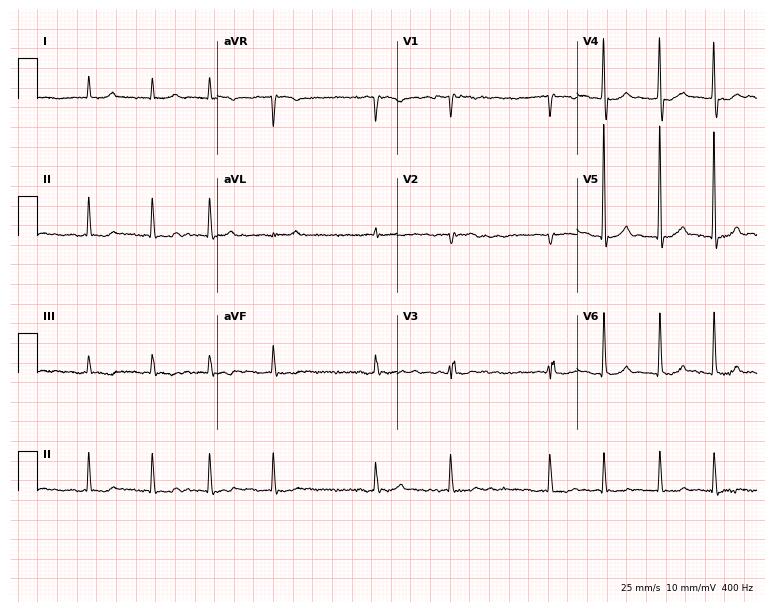
12-lead ECG (7.3-second recording at 400 Hz) from a male patient, 20 years old. Screened for six findings — first-degree AV block, right bundle branch block, left bundle branch block, sinus bradycardia, atrial fibrillation, sinus tachycardia — none is recorded.